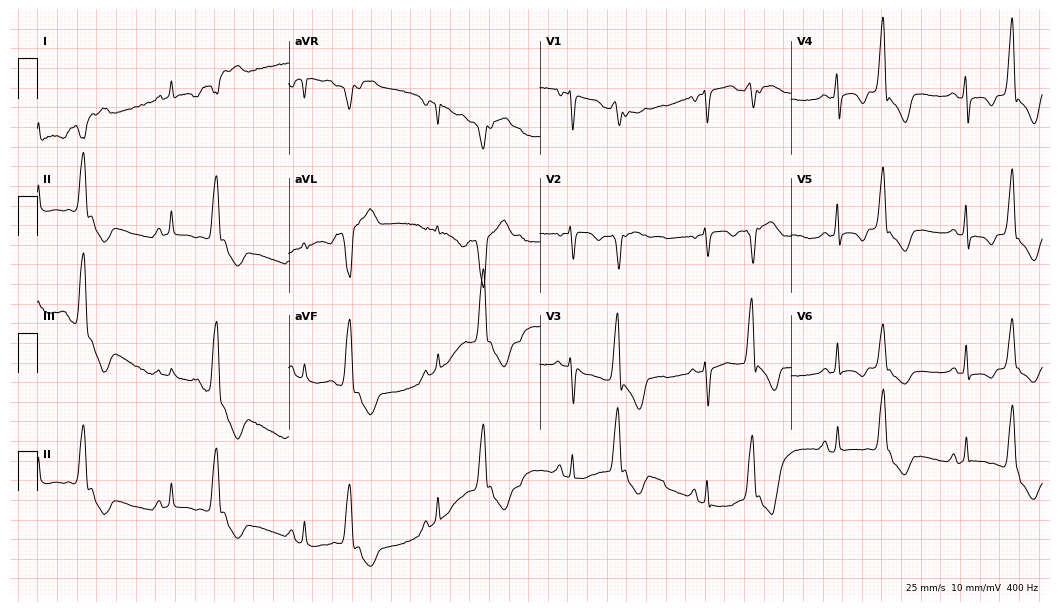
12-lead ECG from a female patient, 55 years old. Screened for six findings — first-degree AV block, right bundle branch block, left bundle branch block, sinus bradycardia, atrial fibrillation, sinus tachycardia — none is recorded.